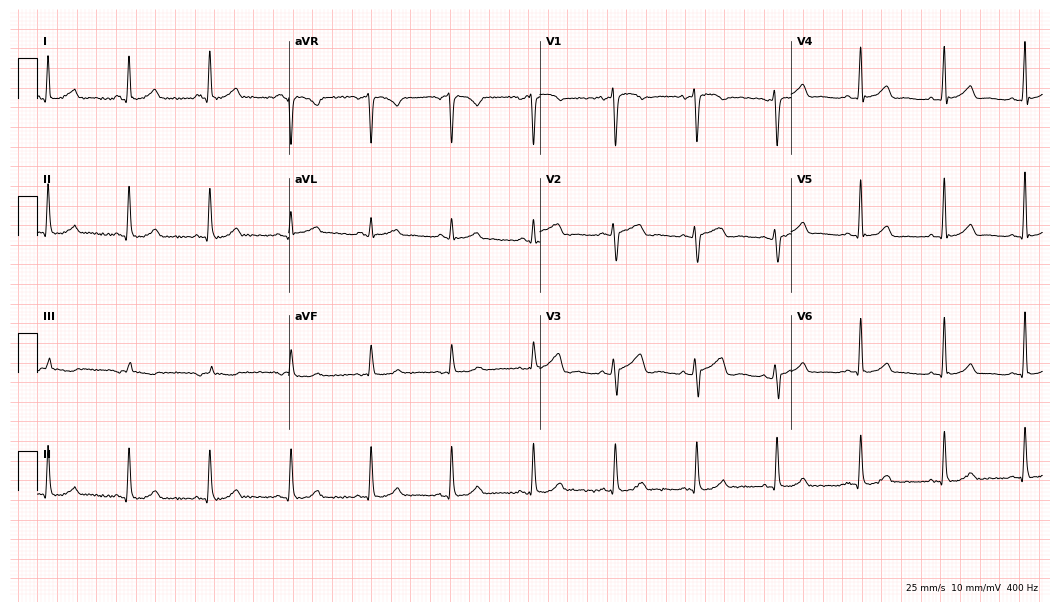
Resting 12-lead electrocardiogram. Patient: a 48-year-old female. Read as a normal ECG.